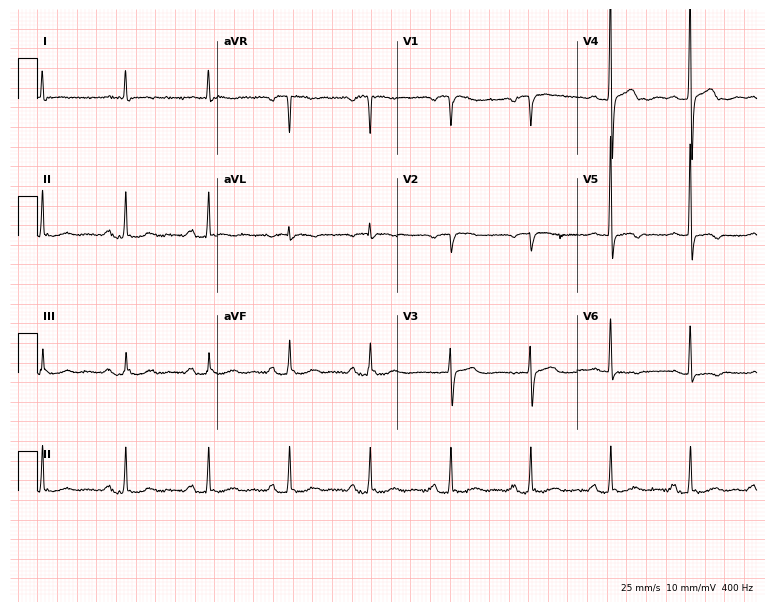
Resting 12-lead electrocardiogram. Patient: a female, 82 years old. None of these six findings is recorded: first-degree AV block, right bundle branch block, left bundle branch block, sinus bradycardia, atrial fibrillation, sinus tachycardia. Only these six findings were labelled.